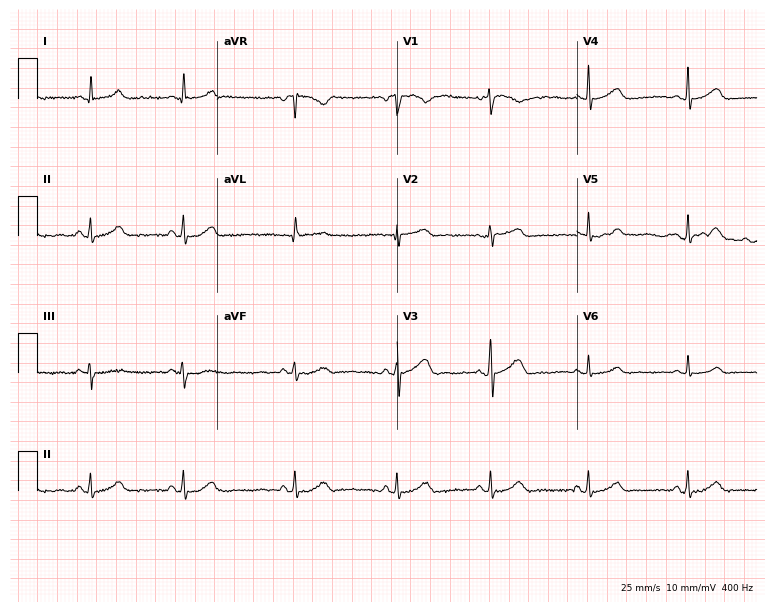
Standard 12-lead ECG recorded from a female patient, 32 years old. Read as a normal ECG.